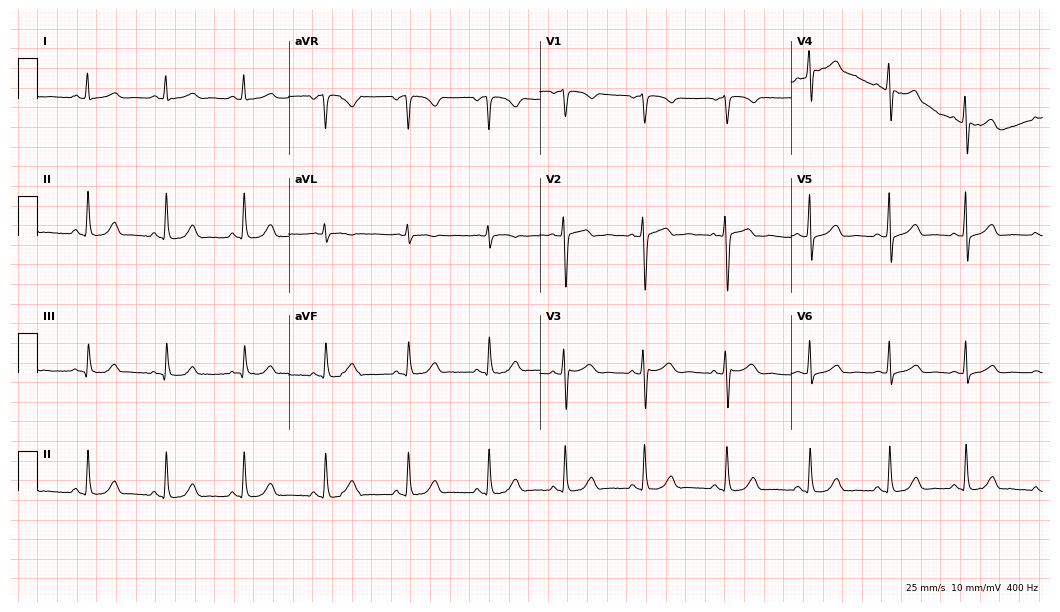
12-lead ECG from a 46-year-old female. Labelled as a normal ECG.